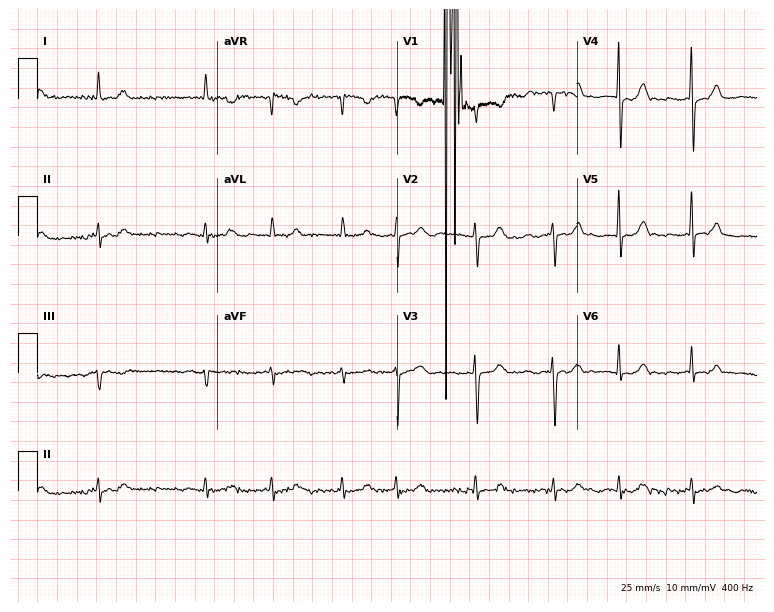
Electrocardiogram, a female patient, 79 years old. Interpretation includes atrial fibrillation.